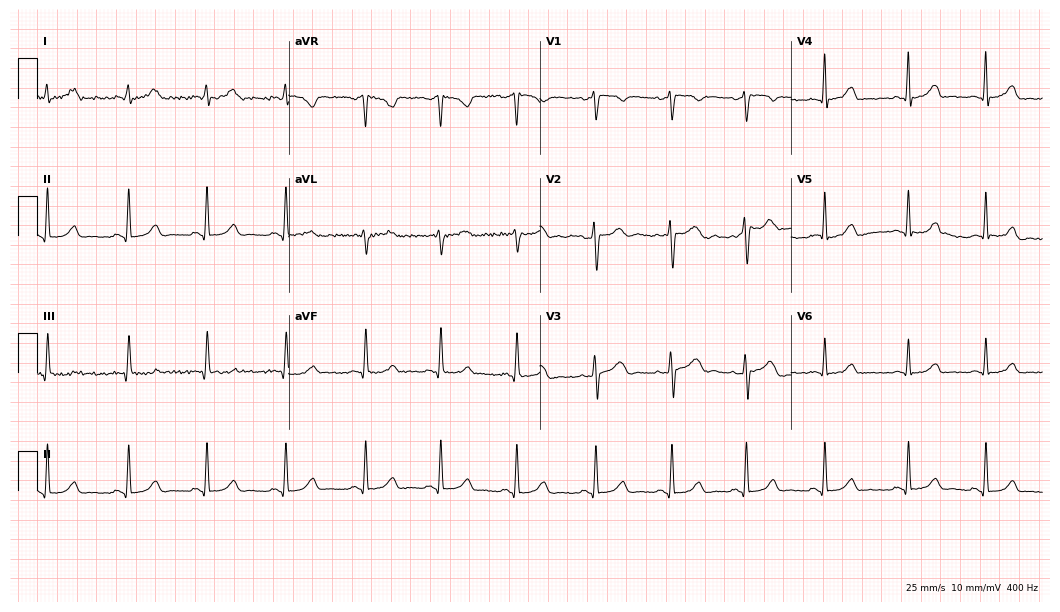
12-lead ECG from a 37-year-old female patient (10.2-second recording at 400 Hz). Recorded interpretation: within normal limits.